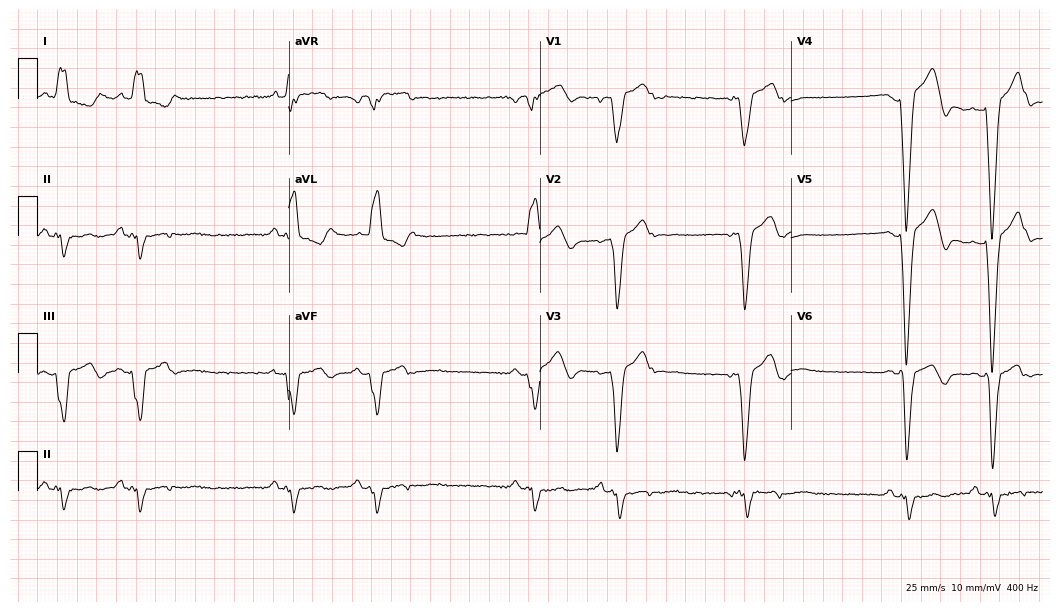
Electrocardiogram, a male, 79 years old. Interpretation includes right bundle branch block, left bundle branch block, sinus bradycardia (a sinus rate of 50 beats per minute or less).